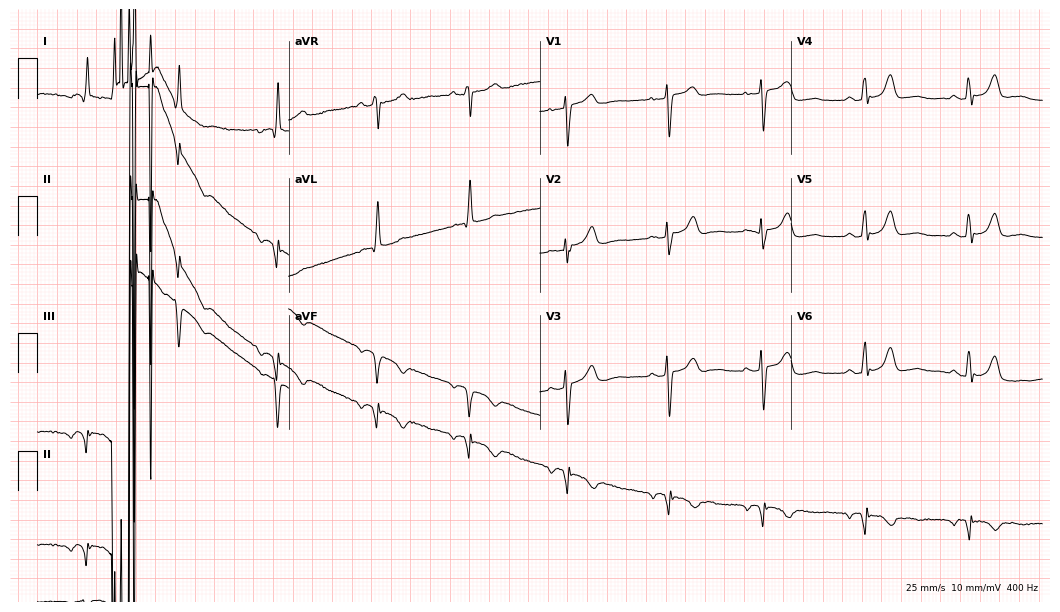
Standard 12-lead ECG recorded from a female patient, 77 years old. None of these six findings is recorded: first-degree AV block, right bundle branch block, left bundle branch block, sinus bradycardia, atrial fibrillation, sinus tachycardia. Findings outside these six are not listed.